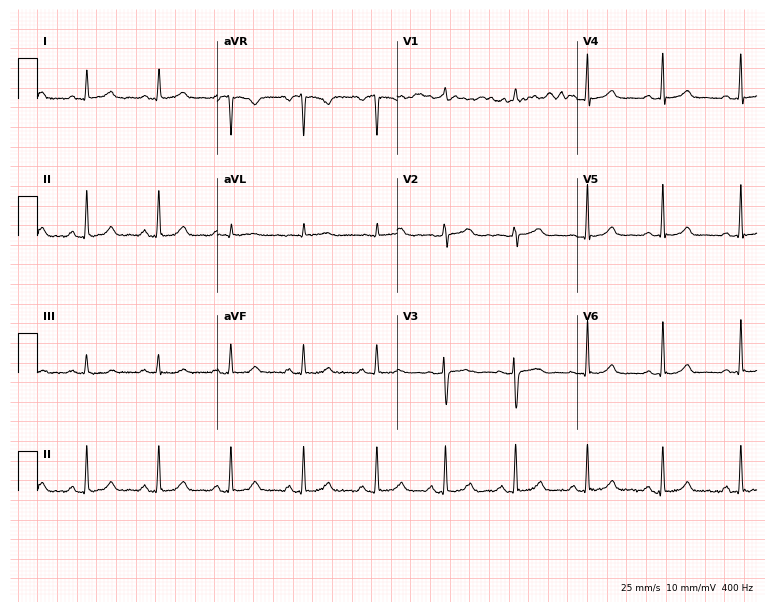
Standard 12-lead ECG recorded from a woman, 43 years old. Read as a normal ECG.